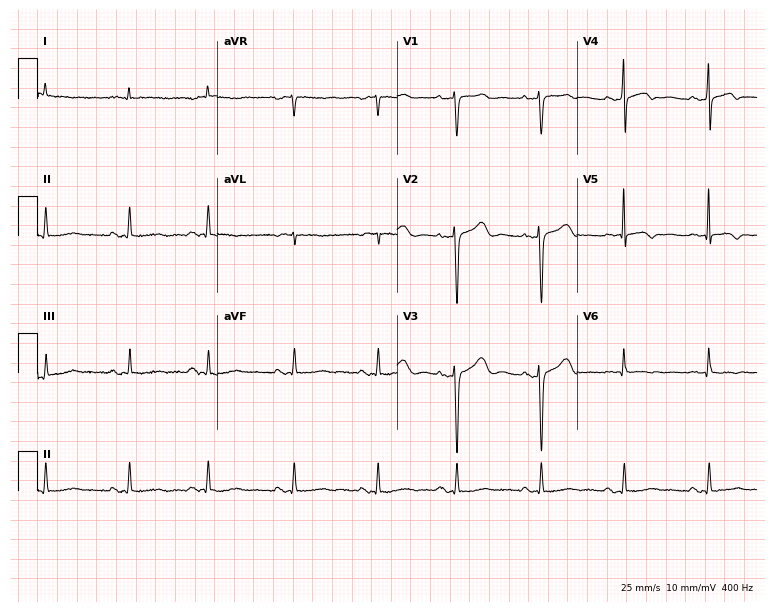
Standard 12-lead ECG recorded from a female, 74 years old. None of these six findings is recorded: first-degree AV block, right bundle branch block, left bundle branch block, sinus bradycardia, atrial fibrillation, sinus tachycardia. Findings outside these six are not listed.